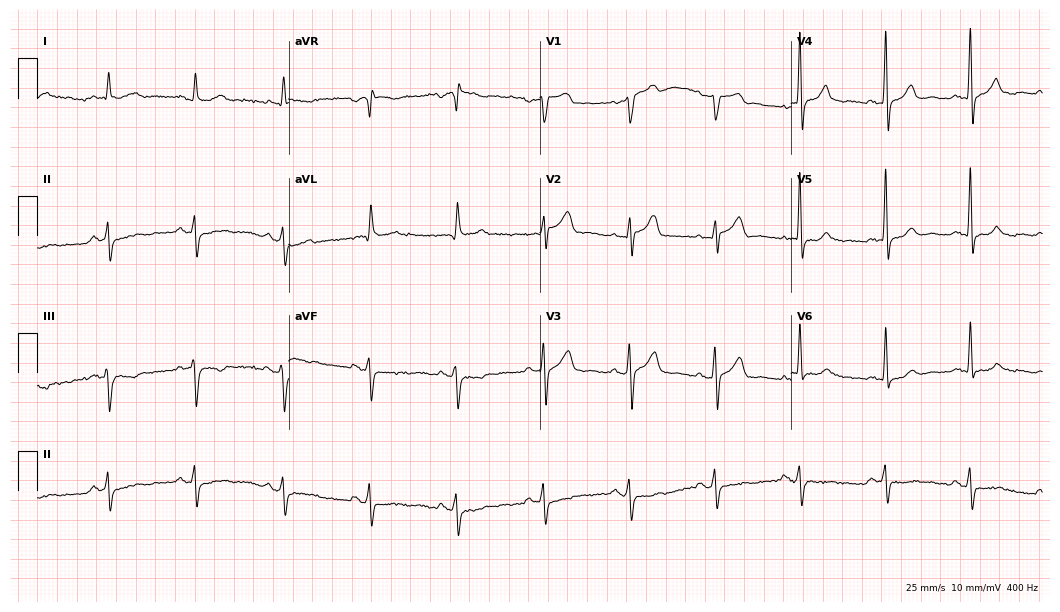
Electrocardiogram, a 72-year-old male patient. Of the six screened findings (first-degree AV block, right bundle branch block, left bundle branch block, sinus bradycardia, atrial fibrillation, sinus tachycardia), none is recorded. Other findings, if any, are not listed.